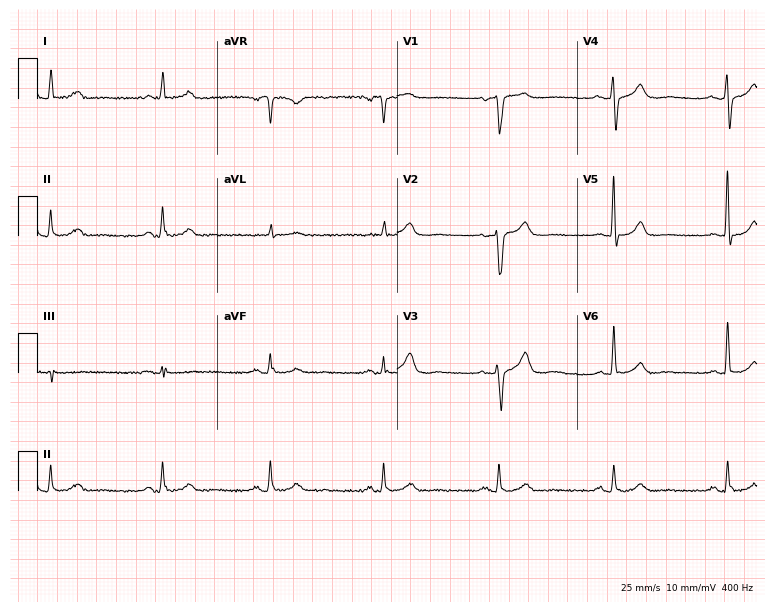
ECG (7.3-second recording at 400 Hz) — a male patient, 70 years old. Labelled as a normal ECG.